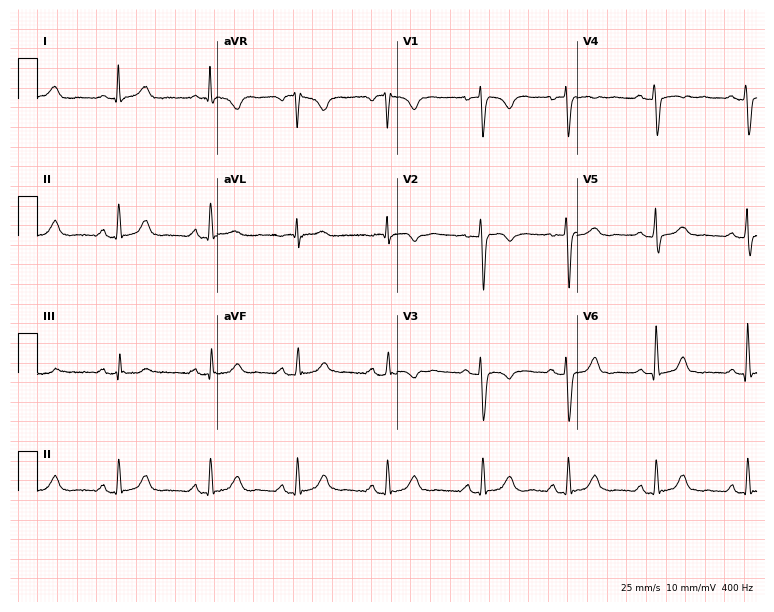
ECG (7.3-second recording at 400 Hz) — a female, 41 years old. Labelled as a normal ECG.